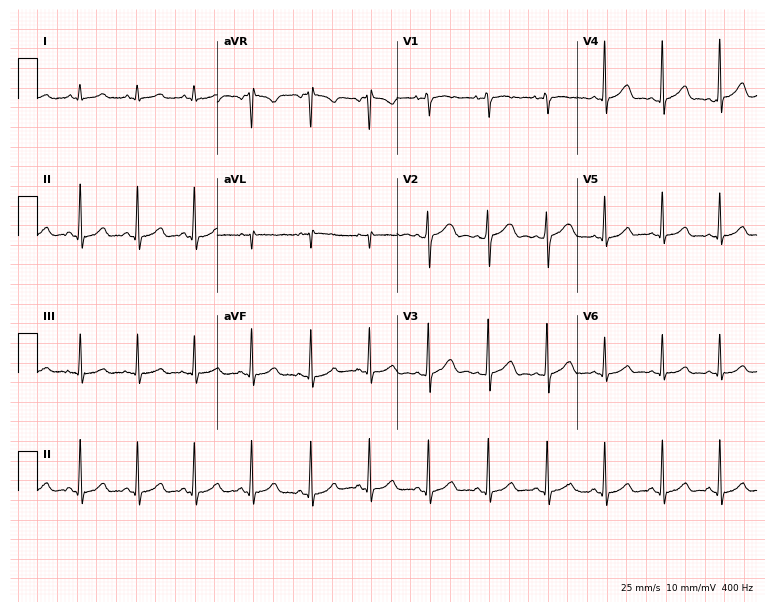
Resting 12-lead electrocardiogram. Patient: a 31-year-old female. Read as a normal ECG.